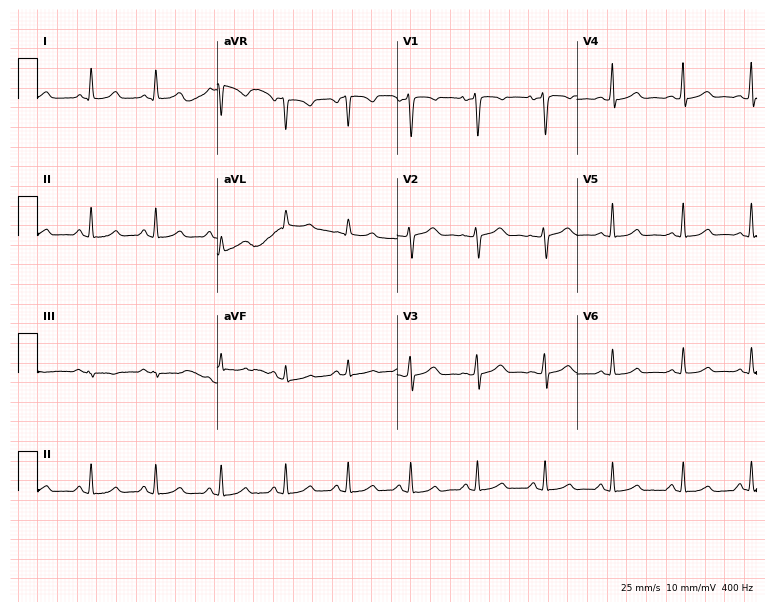
12-lead ECG from a woman, 32 years old. No first-degree AV block, right bundle branch block, left bundle branch block, sinus bradycardia, atrial fibrillation or sinus tachycardia recorded for this tracing. Findings outside these six are not listed.